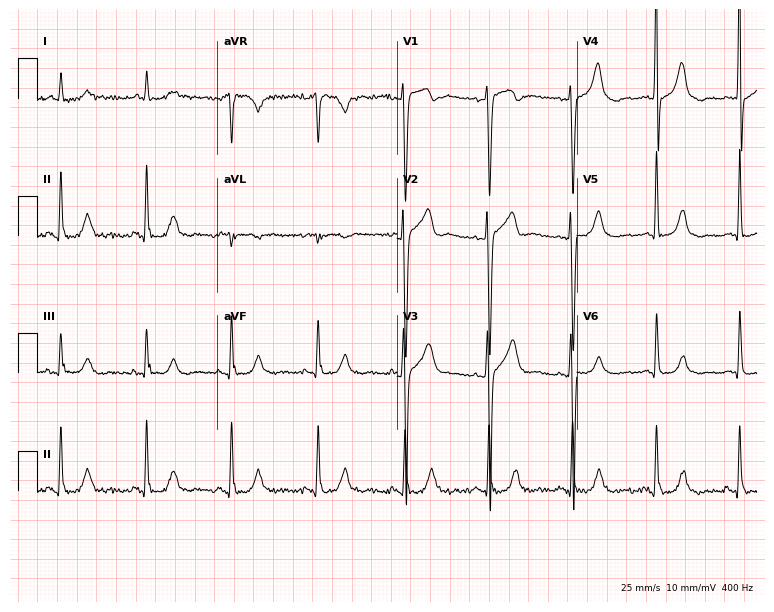
Resting 12-lead electrocardiogram. Patient: a 54-year-old male. Read as a normal ECG.